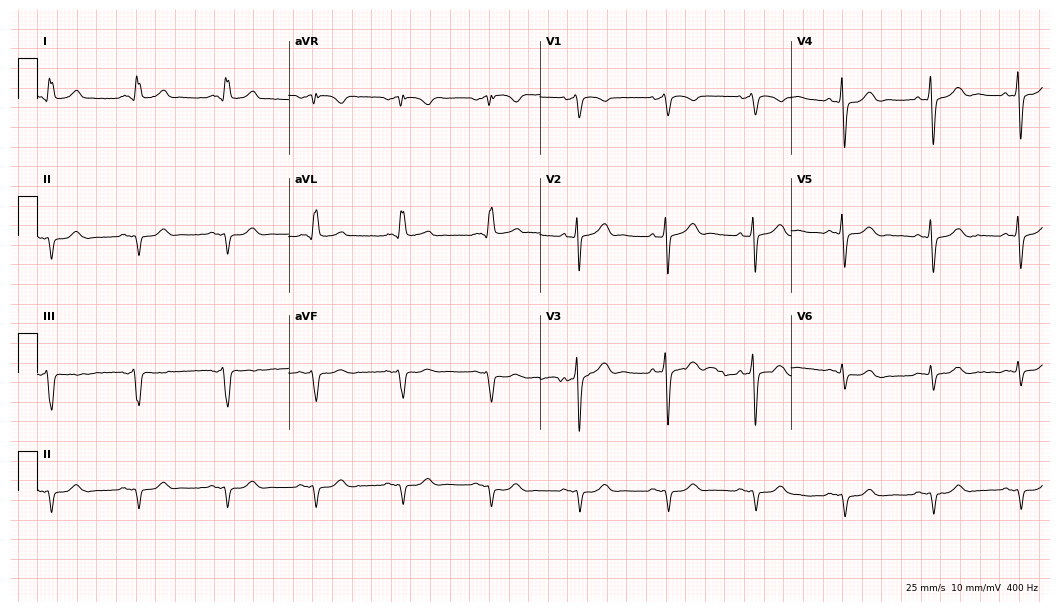
12-lead ECG (10.2-second recording at 400 Hz) from a male, 77 years old. Screened for six findings — first-degree AV block, right bundle branch block, left bundle branch block, sinus bradycardia, atrial fibrillation, sinus tachycardia — none is recorded. Only these six findings were labelled.